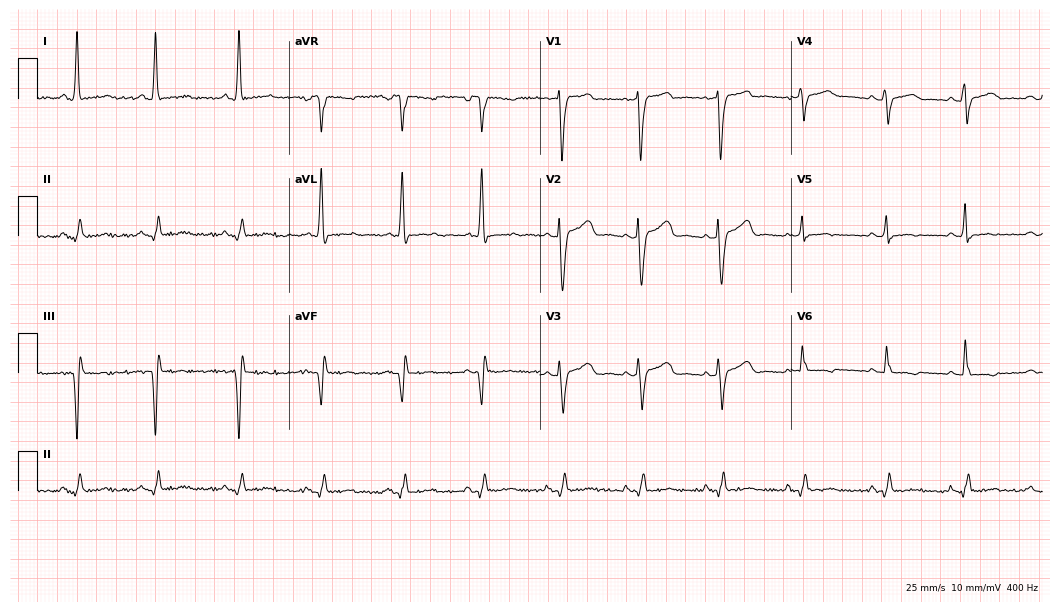
12-lead ECG from a 49-year-old woman. Screened for six findings — first-degree AV block, right bundle branch block, left bundle branch block, sinus bradycardia, atrial fibrillation, sinus tachycardia — none is recorded. Other findings, if any, are not listed.